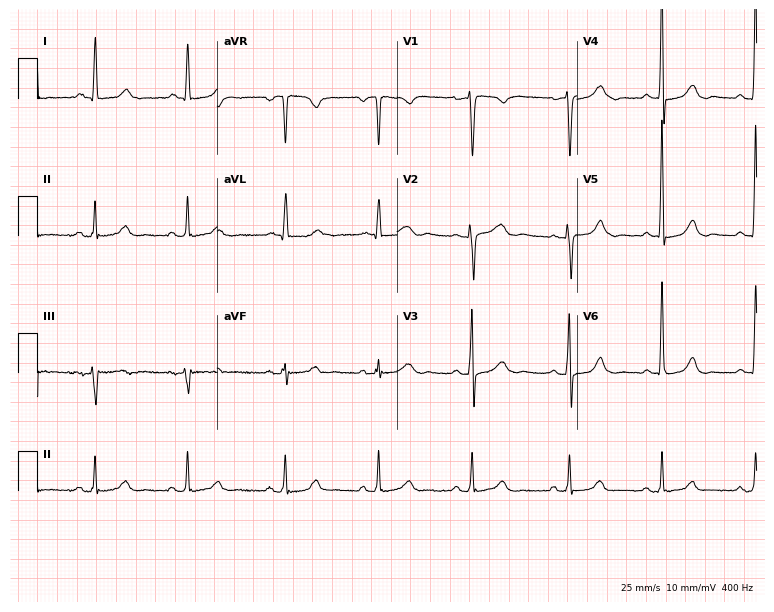
12-lead ECG from a female patient, 50 years old. Screened for six findings — first-degree AV block, right bundle branch block, left bundle branch block, sinus bradycardia, atrial fibrillation, sinus tachycardia — none is recorded.